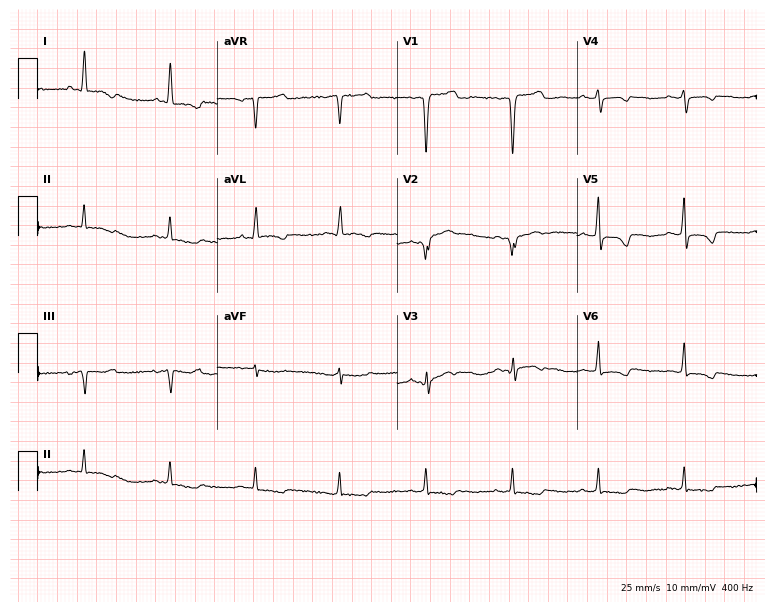
Resting 12-lead electrocardiogram. Patient: a 75-year-old female. None of these six findings is recorded: first-degree AV block, right bundle branch block (RBBB), left bundle branch block (LBBB), sinus bradycardia, atrial fibrillation (AF), sinus tachycardia.